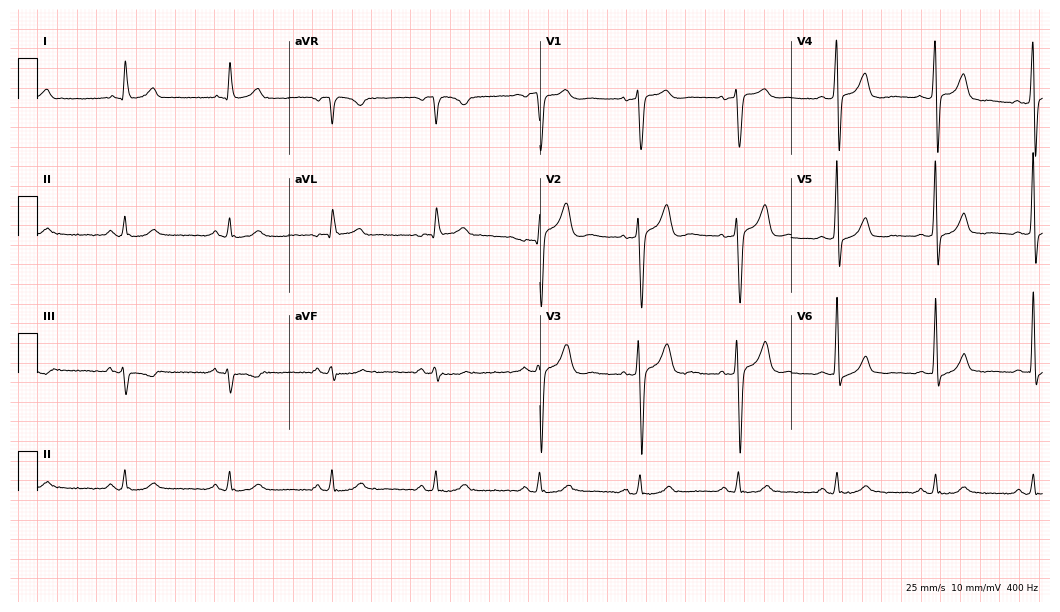
12-lead ECG from a 57-year-old man. Screened for six findings — first-degree AV block, right bundle branch block, left bundle branch block, sinus bradycardia, atrial fibrillation, sinus tachycardia — none is recorded. Findings outside these six are not listed.